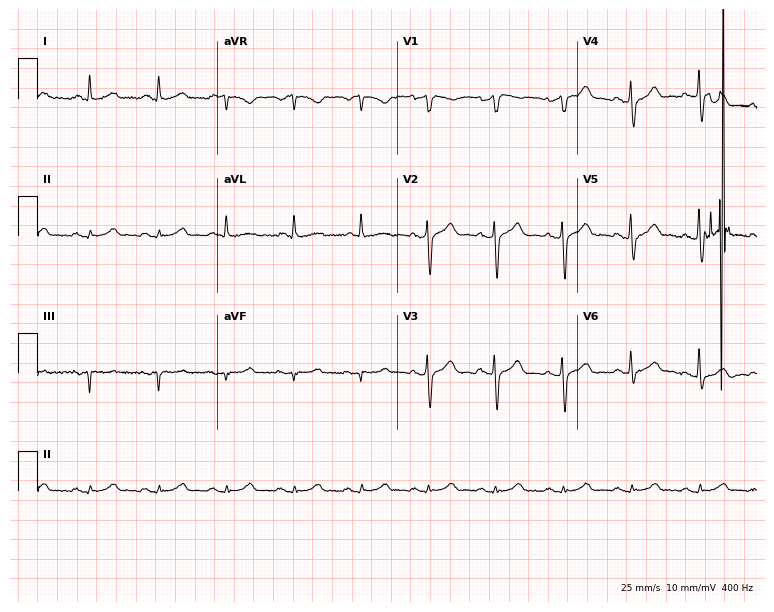
Standard 12-lead ECG recorded from a man, 63 years old. Read as a normal ECG.